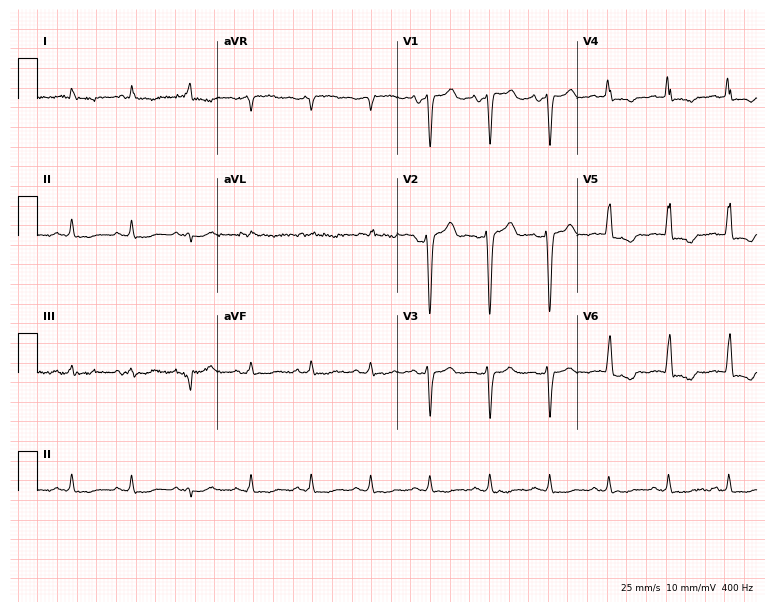
12-lead ECG from a male, 84 years old. No first-degree AV block, right bundle branch block (RBBB), left bundle branch block (LBBB), sinus bradycardia, atrial fibrillation (AF) or sinus tachycardia recorded for this tracing.